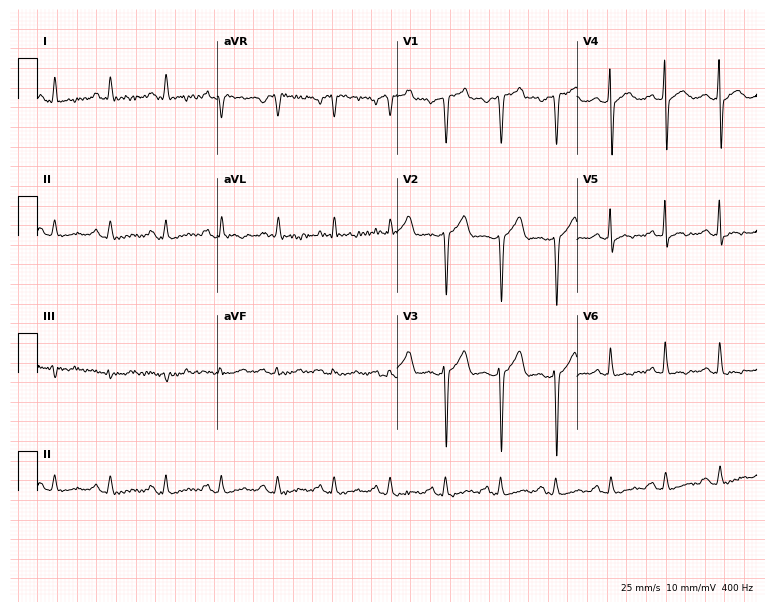
12-lead ECG from a 64-year-old male patient. Screened for six findings — first-degree AV block, right bundle branch block (RBBB), left bundle branch block (LBBB), sinus bradycardia, atrial fibrillation (AF), sinus tachycardia — none is recorded. Findings outside these six are not listed.